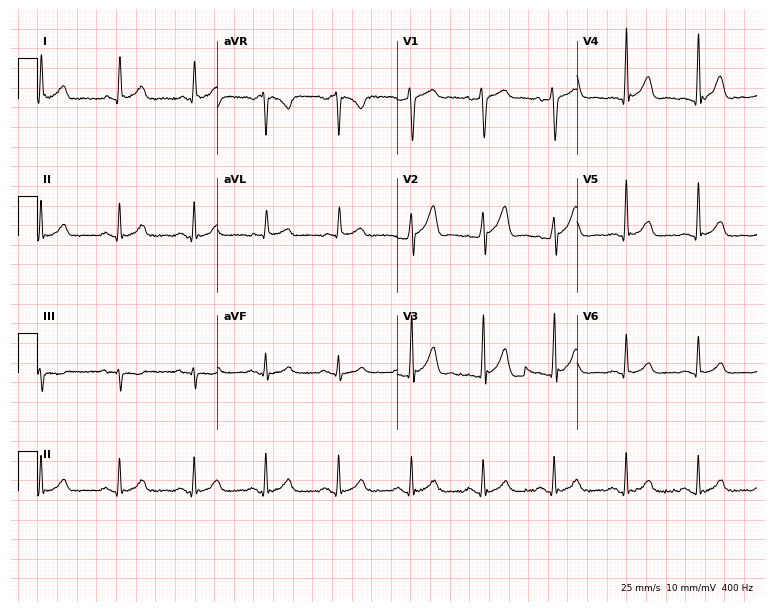
Standard 12-lead ECG recorded from a 50-year-old man. Read as a normal ECG.